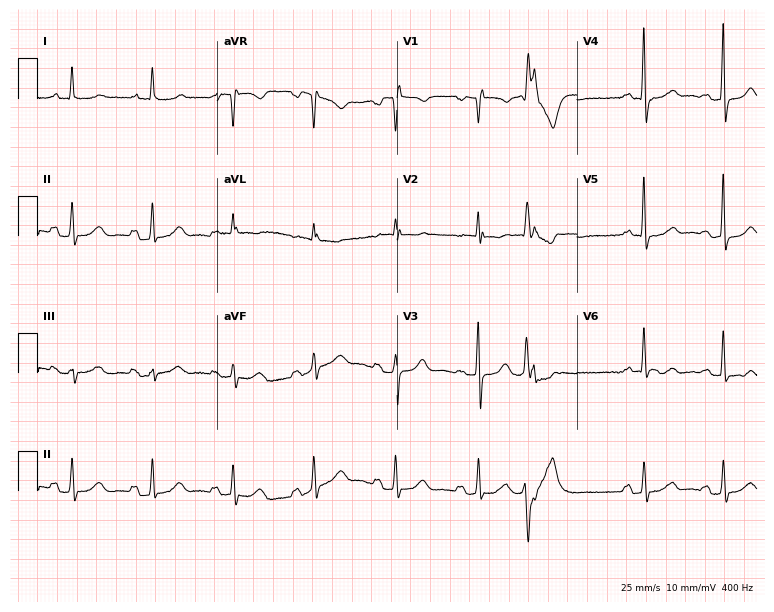
12-lead ECG from a 72-year-old woman. No first-degree AV block, right bundle branch block (RBBB), left bundle branch block (LBBB), sinus bradycardia, atrial fibrillation (AF) or sinus tachycardia recorded for this tracing. Other findings, if any, are not listed.